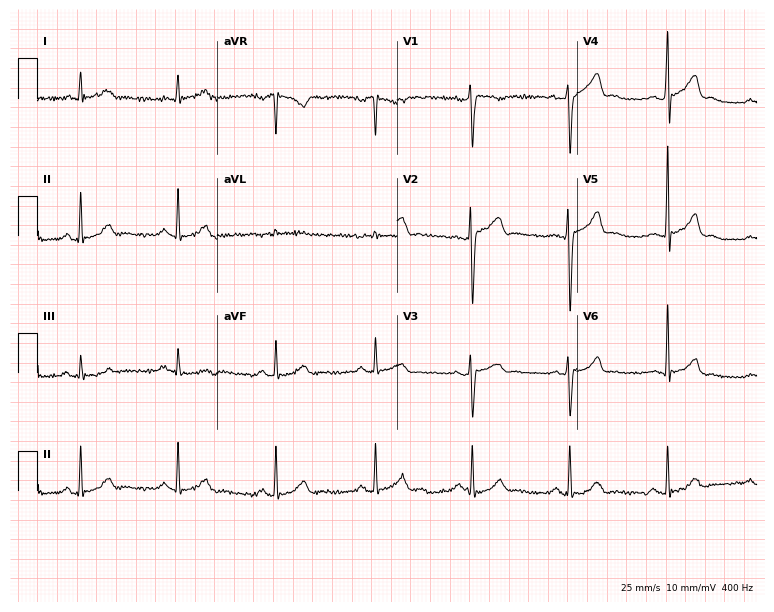
Standard 12-lead ECG recorded from a male, 41 years old (7.3-second recording at 400 Hz). Read as a normal ECG.